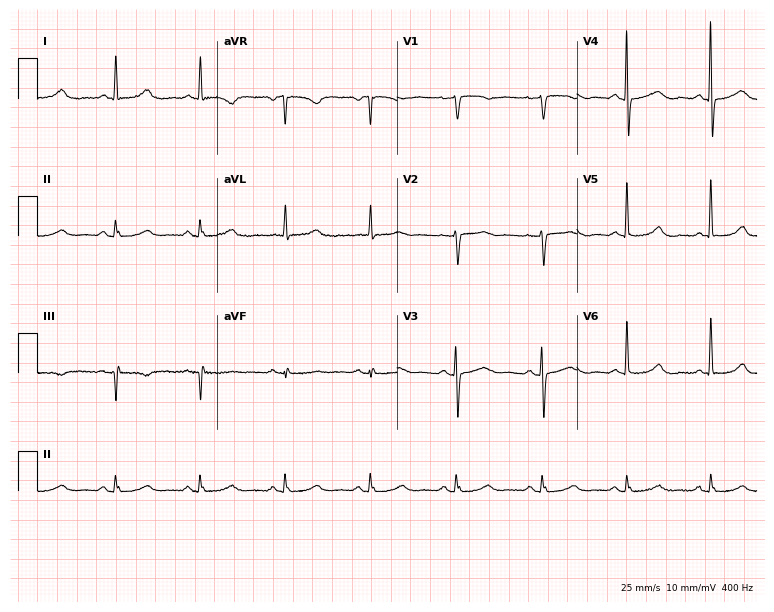
Resting 12-lead electrocardiogram. Patient: a female, 80 years old. Read as a normal ECG.